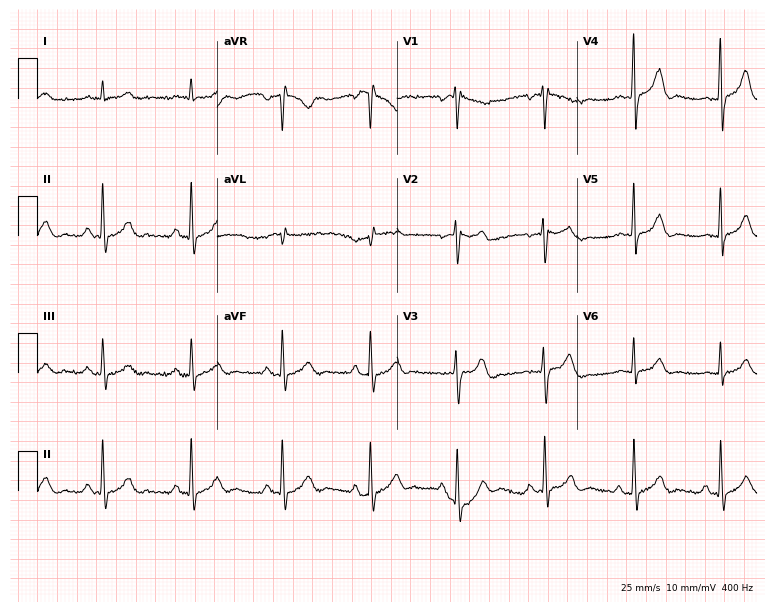
ECG (7.3-second recording at 400 Hz) — a 35-year-old male patient. Screened for six findings — first-degree AV block, right bundle branch block, left bundle branch block, sinus bradycardia, atrial fibrillation, sinus tachycardia — none is recorded. Only these six findings were labelled.